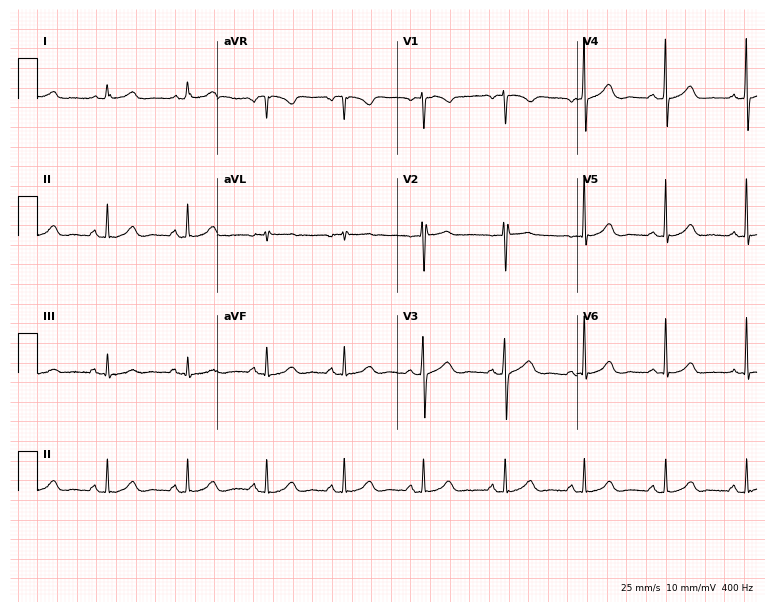
Standard 12-lead ECG recorded from a 74-year-old woman. Read as a normal ECG.